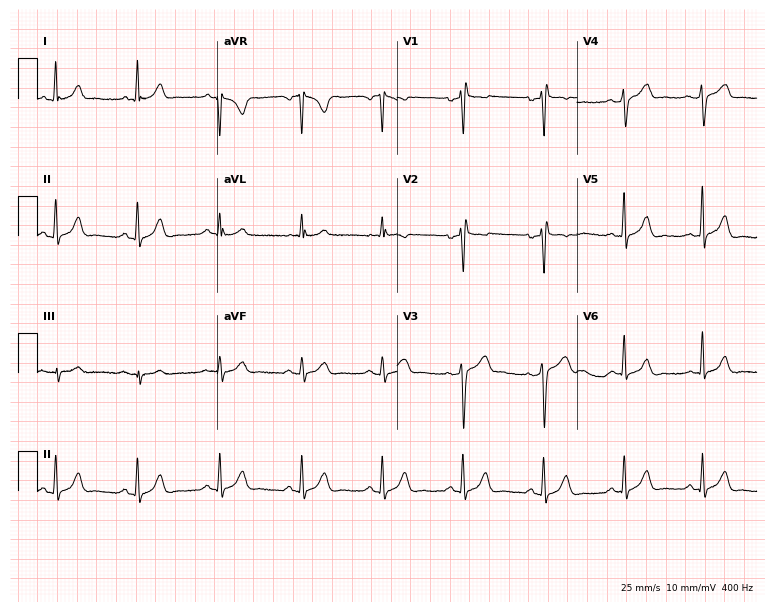
Resting 12-lead electrocardiogram (7.3-second recording at 400 Hz). Patient: a 41-year-old man. None of these six findings is recorded: first-degree AV block, right bundle branch block (RBBB), left bundle branch block (LBBB), sinus bradycardia, atrial fibrillation (AF), sinus tachycardia. Other findings, if any, are not listed.